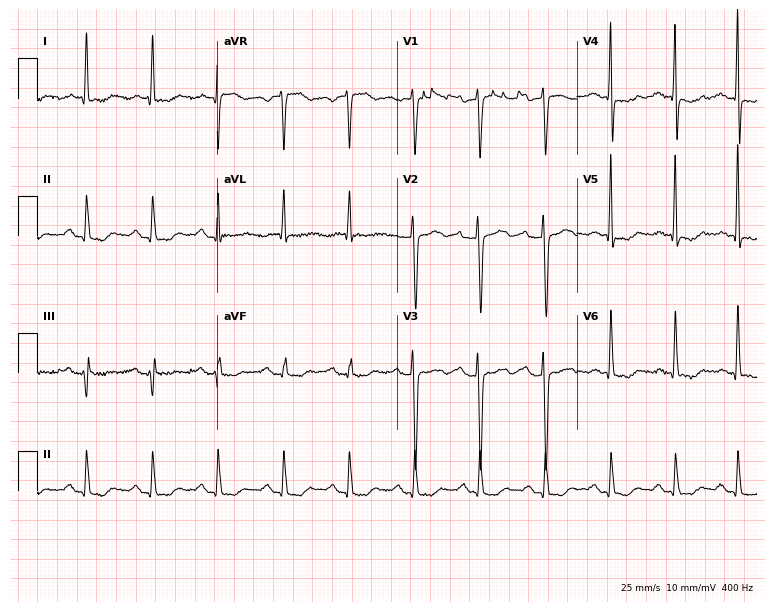
ECG (7.3-second recording at 400 Hz) — a 61-year-old woman. Screened for six findings — first-degree AV block, right bundle branch block (RBBB), left bundle branch block (LBBB), sinus bradycardia, atrial fibrillation (AF), sinus tachycardia — none is recorded.